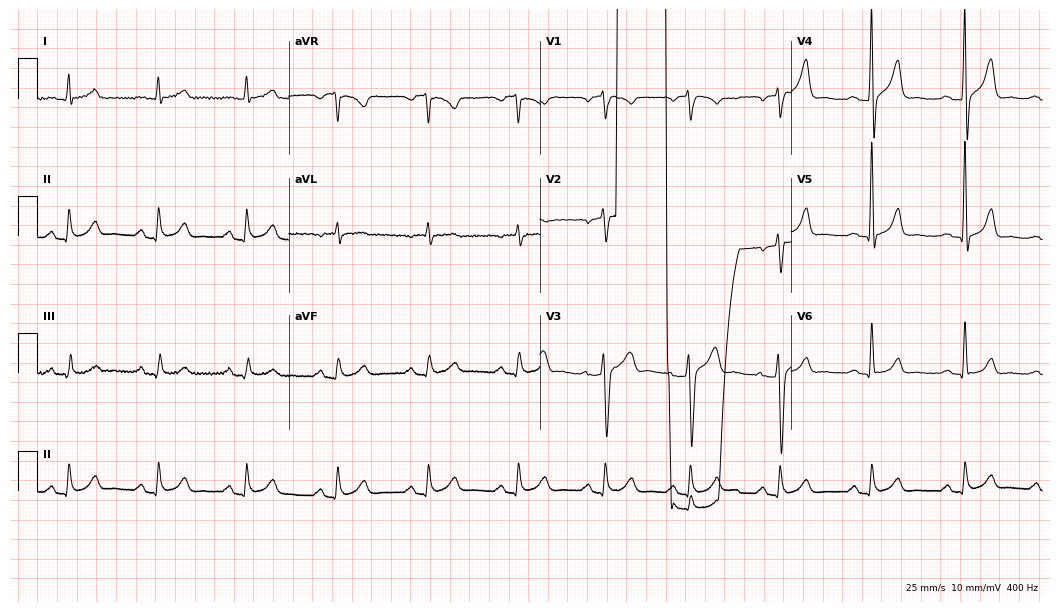
Electrocardiogram (10.2-second recording at 400 Hz), a male patient, 56 years old. Of the six screened findings (first-degree AV block, right bundle branch block (RBBB), left bundle branch block (LBBB), sinus bradycardia, atrial fibrillation (AF), sinus tachycardia), none is recorded. Findings outside these six are not listed.